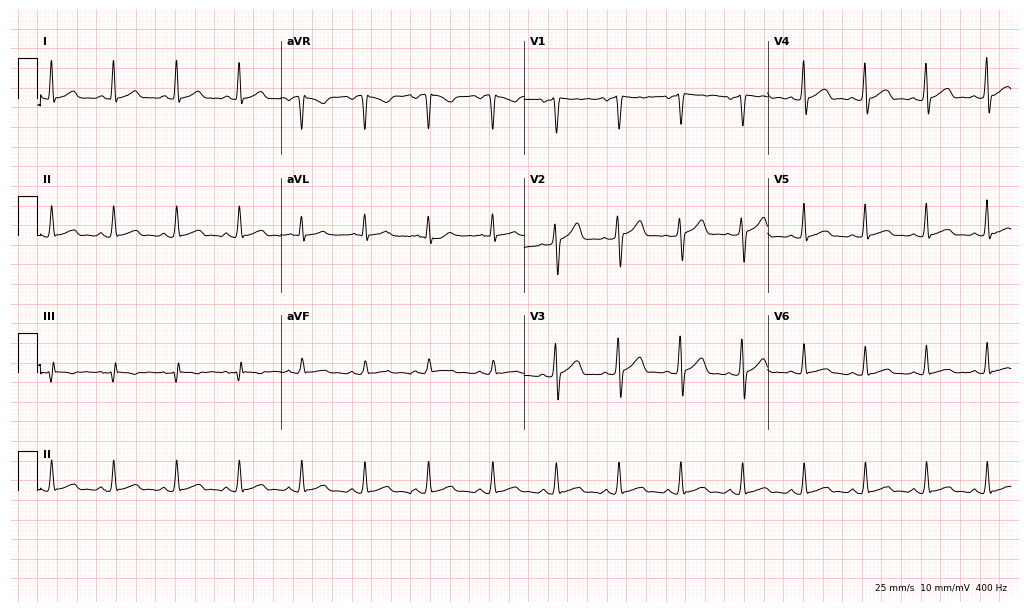
Standard 12-lead ECG recorded from a male, 38 years old. Read as a normal ECG.